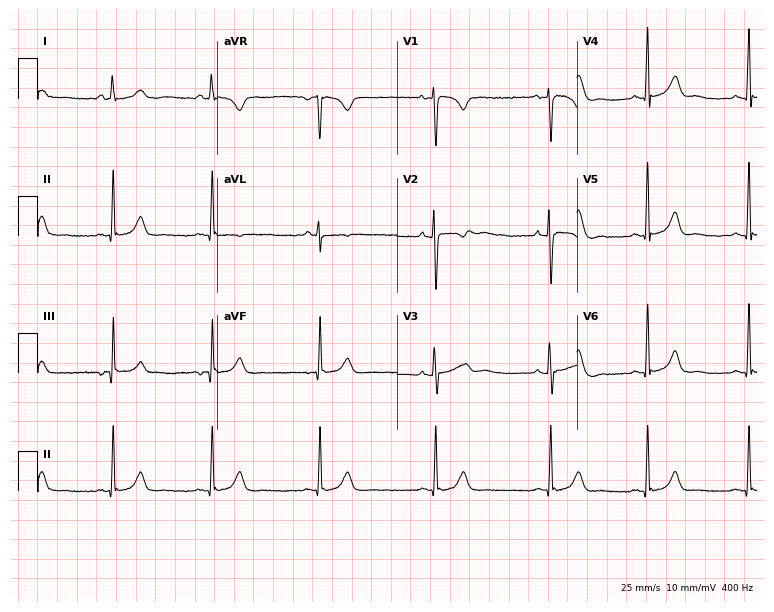
12-lead ECG from a female, 27 years old (7.3-second recording at 400 Hz). No first-degree AV block, right bundle branch block (RBBB), left bundle branch block (LBBB), sinus bradycardia, atrial fibrillation (AF) or sinus tachycardia recorded for this tracing.